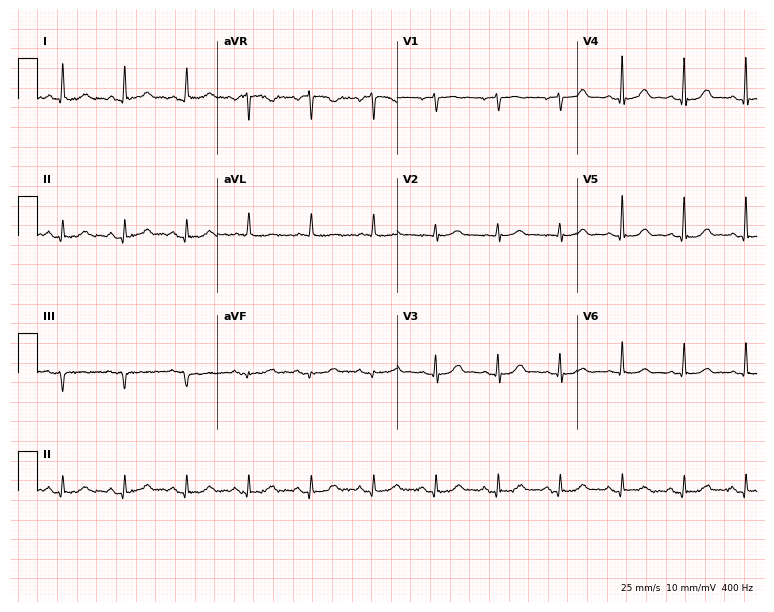
12-lead ECG from a 57-year-old woman. Screened for six findings — first-degree AV block, right bundle branch block, left bundle branch block, sinus bradycardia, atrial fibrillation, sinus tachycardia — none is recorded. Only these six findings were labelled.